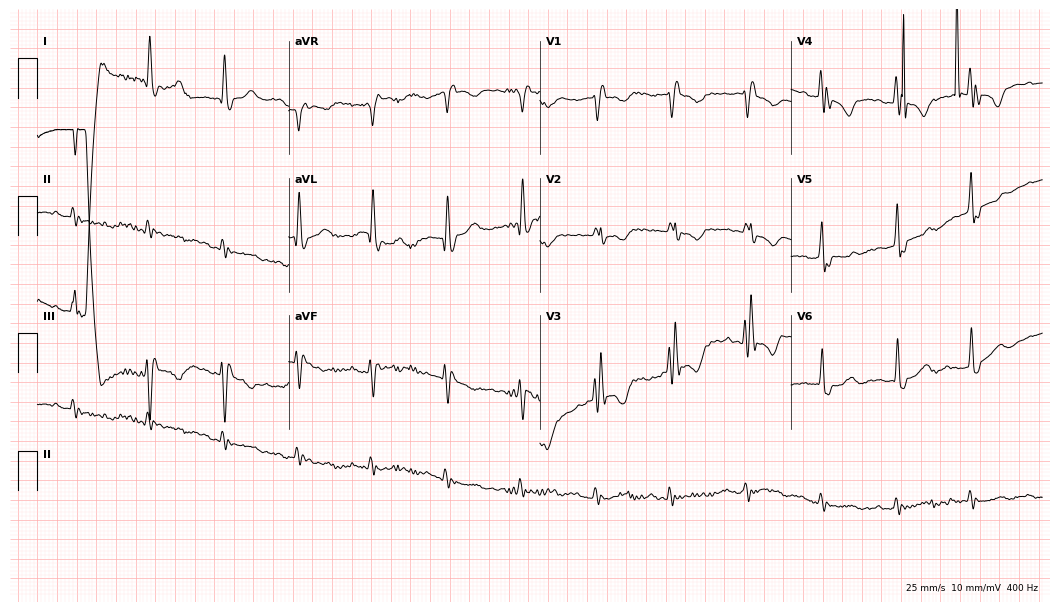
12-lead ECG from an 81-year-old male. No first-degree AV block, right bundle branch block, left bundle branch block, sinus bradycardia, atrial fibrillation or sinus tachycardia recorded for this tracing.